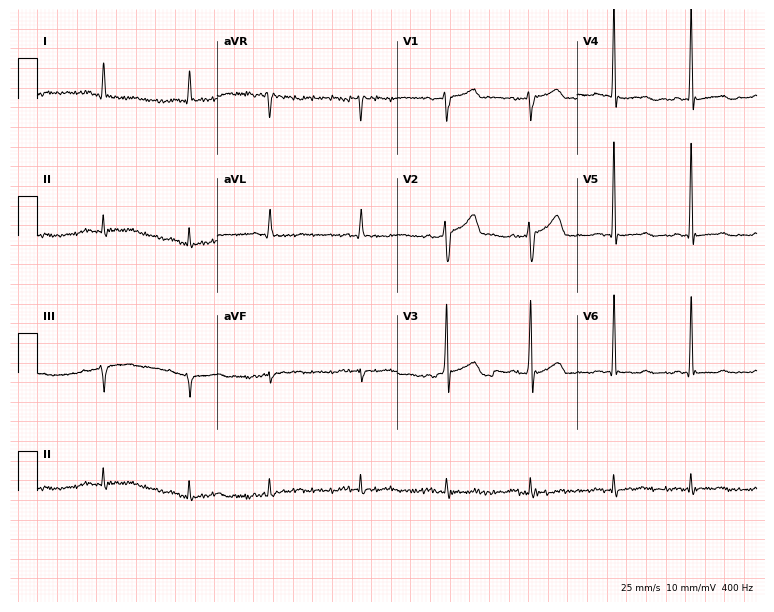
ECG (7.3-second recording at 400 Hz) — a male, 63 years old. Screened for six findings — first-degree AV block, right bundle branch block, left bundle branch block, sinus bradycardia, atrial fibrillation, sinus tachycardia — none is recorded.